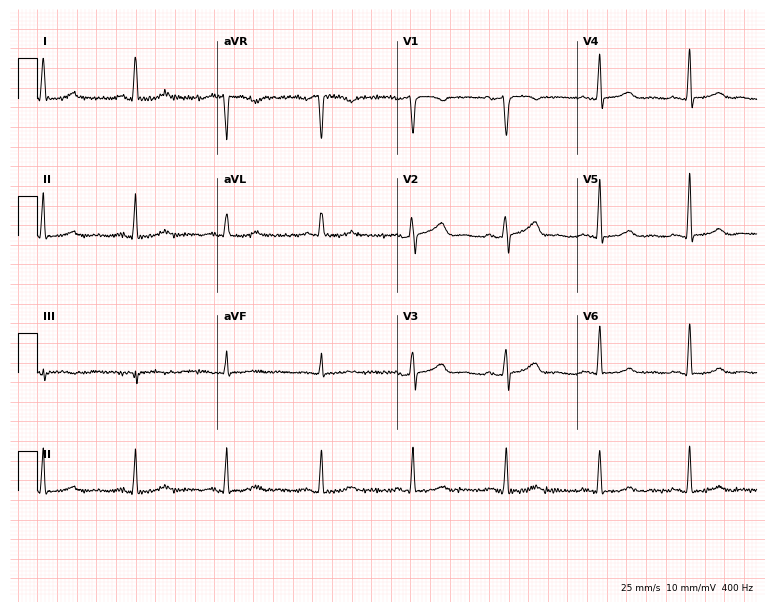
Standard 12-lead ECG recorded from a female, 55 years old. None of these six findings is recorded: first-degree AV block, right bundle branch block (RBBB), left bundle branch block (LBBB), sinus bradycardia, atrial fibrillation (AF), sinus tachycardia.